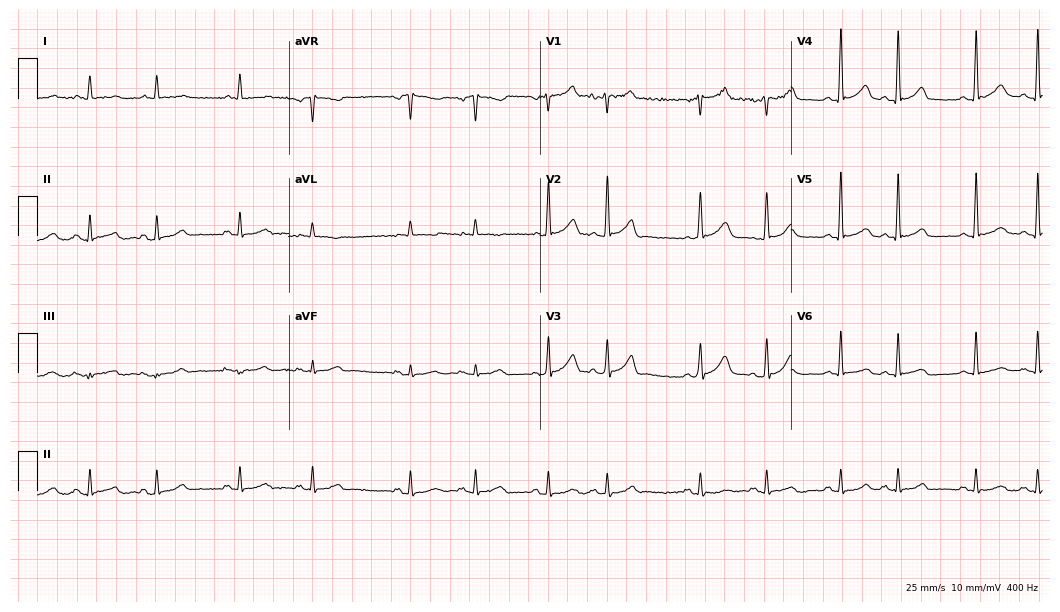
12-lead ECG from a 70-year-old male patient. Labelled as a normal ECG.